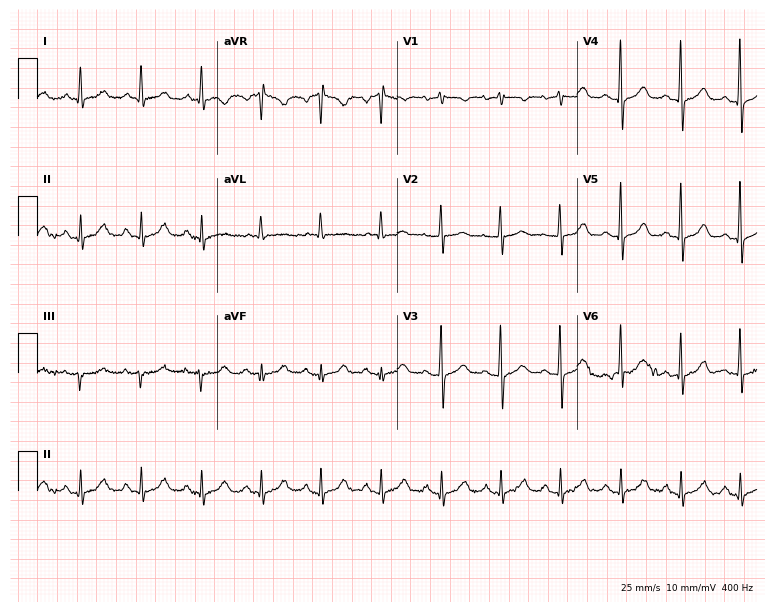
12-lead ECG from a 75-year-old female (7.3-second recording at 400 Hz). No first-degree AV block, right bundle branch block (RBBB), left bundle branch block (LBBB), sinus bradycardia, atrial fibrillation (AF) or sinus tachycardia recorded for this tracing. Only these six findings were labelled.